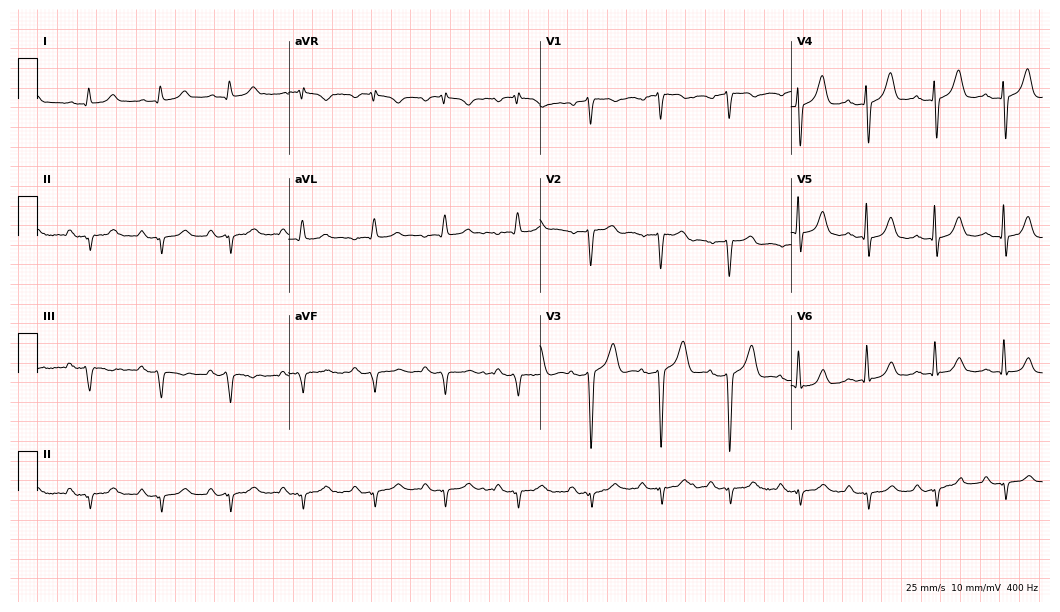
Standard 12-lead ECG recorded from a 67-year-old male patient (10.2-second recording at 400 Hz). None of these six findings is recorded: first-degree AV block, right bundle branch block, left bundle branch block, sinus bradycardia, atrial fibrillation, sinus tachycardia.